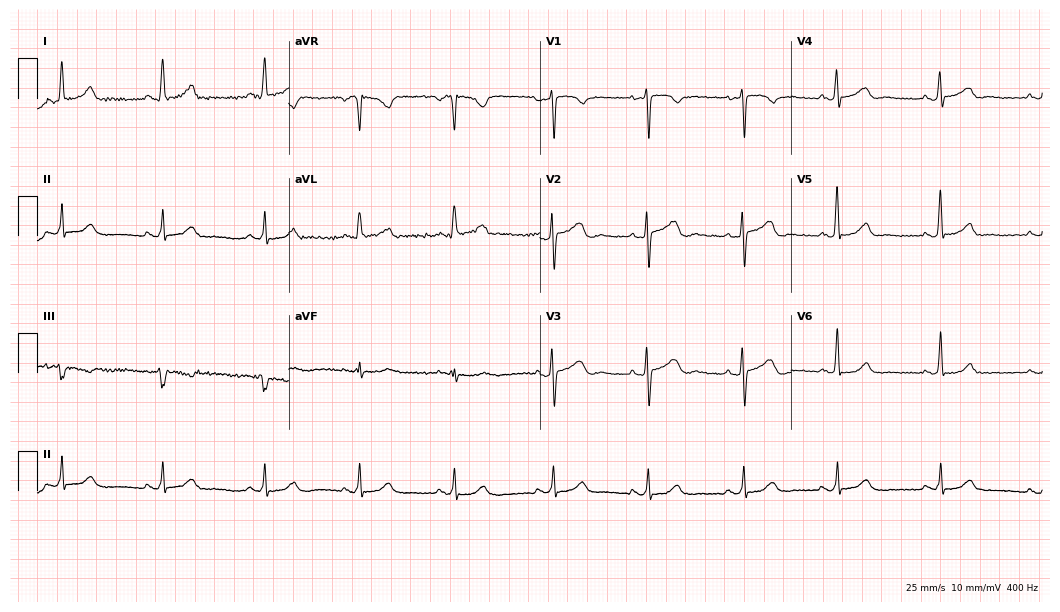
Standard 12-lead ECG recorded from a female, 58 years old. Read as a normal ECG.